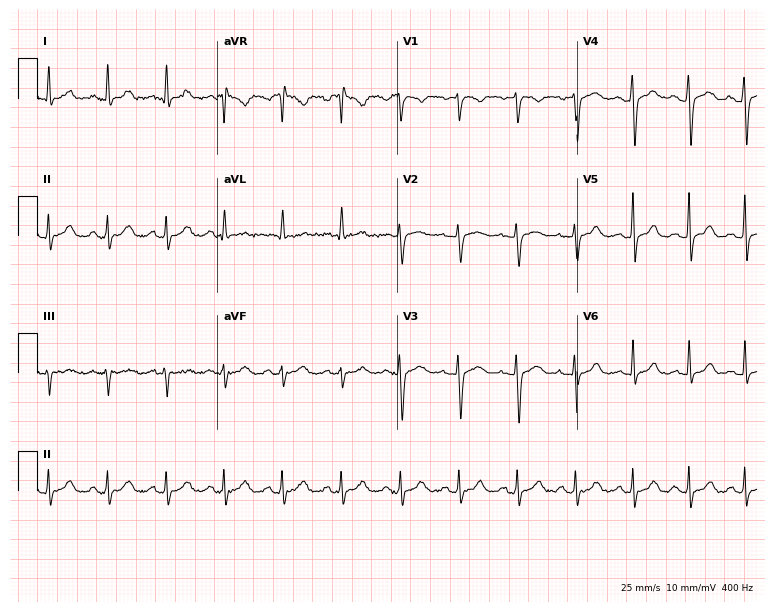
12-lead ECG from a 40-year-old female patient. Labelled as a normal ECG.